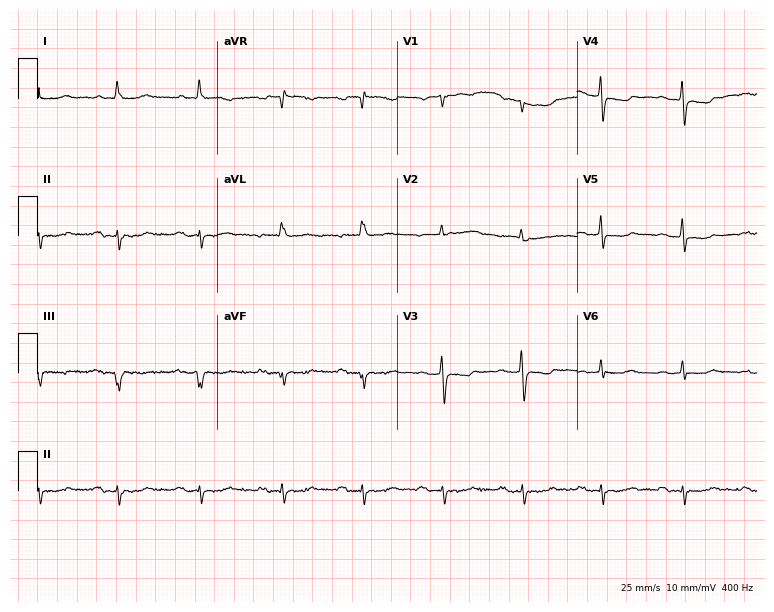
12-lead ECG from a 69-year-old female. Screened for six findings — first-degree AV block, right bundle branch block, left bundle branch block, sinus bradycardia, atrial fibrillation, sinus tachycardia — none is recorded.